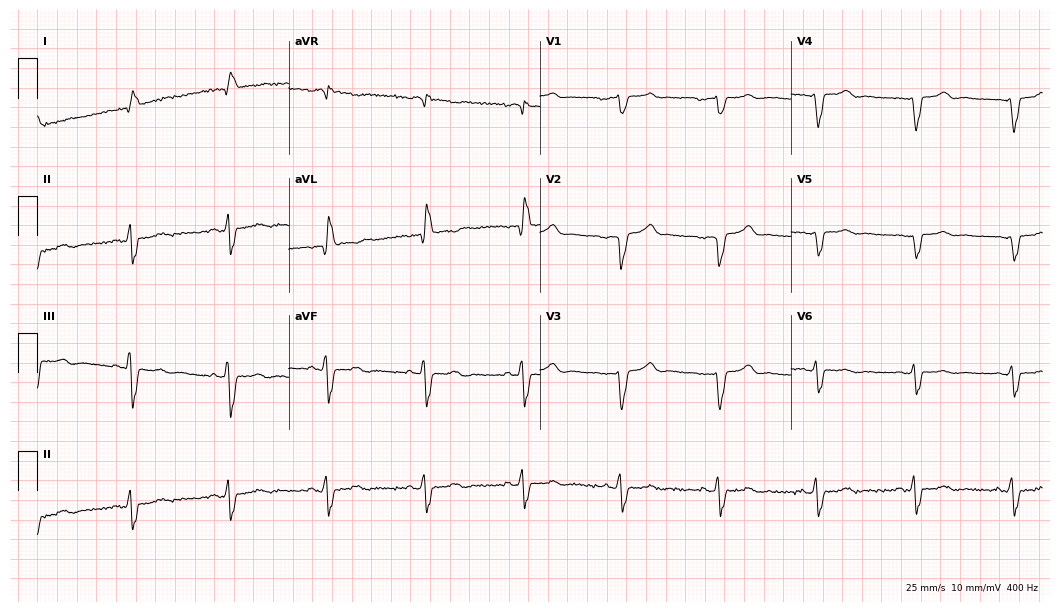
12-lead ECG (10.2-second recording at 400 Hz) from a female, 64 years old. Screened for six findings — first-degree AV block, right bundle branch block, left bundle branch block, sinus bradycardia, atrial fibrillation, sinus tachycardia — none is recorded.